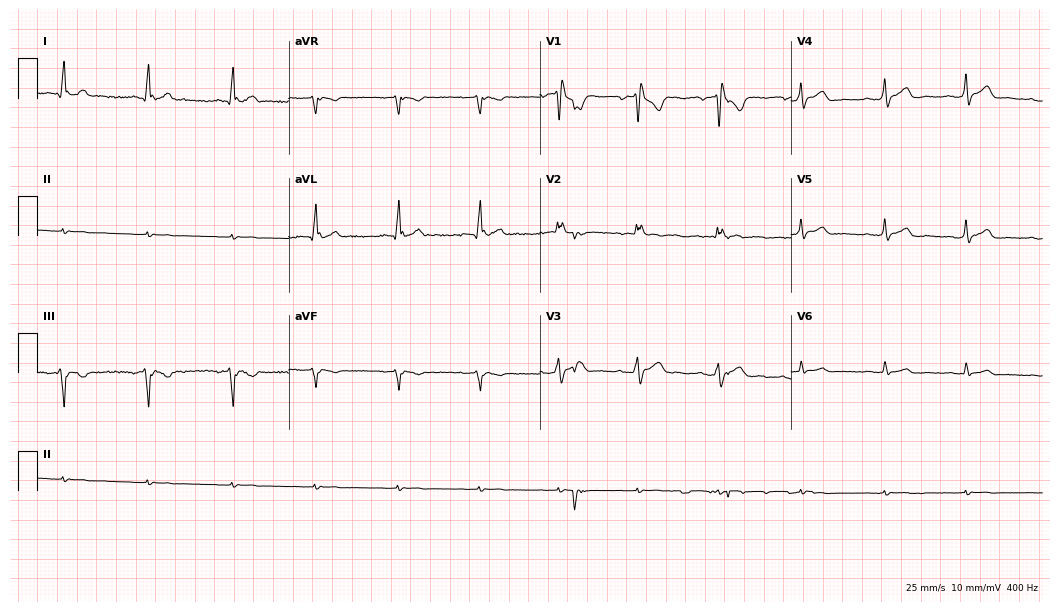
ECG — a 22-year-old man. Screened for six findings — first-degree AV block, right bundle branch block (RBBB), left bundle branch block (LBBB), sinus bradycardia, atrial fibrillation (AF), sinus tachycardia — none is recorded.